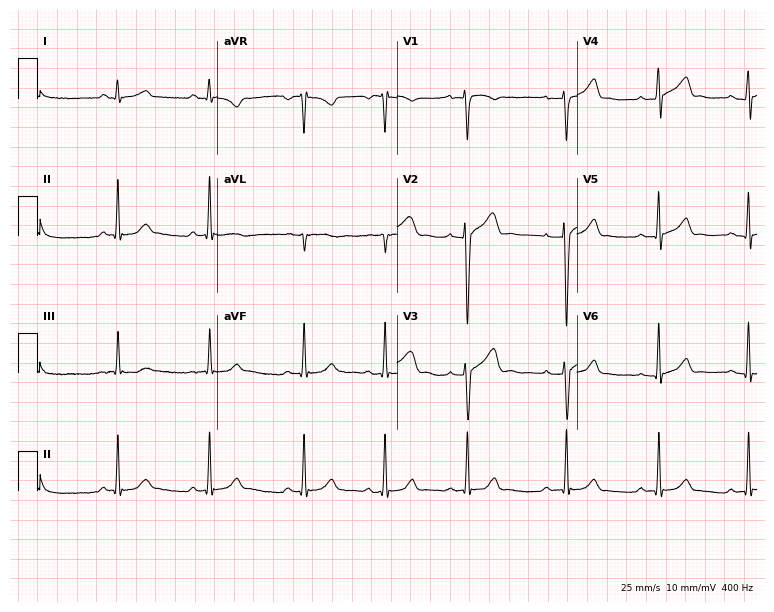
Electrocardiogram (7.3-second recording at 400 Hz), a 26-year-old male. Overall reading on record: normal ECG.